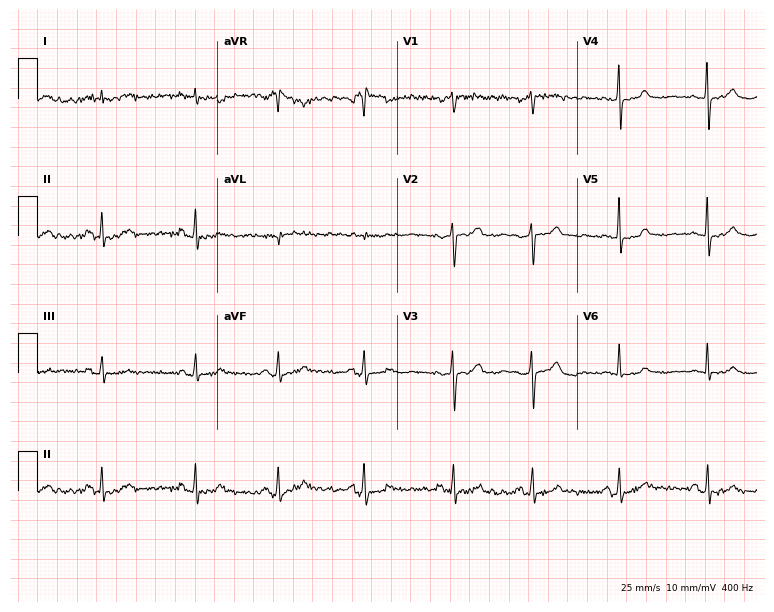
12-lead ECG from a woman, 63 years old. No first-degree AV block, right bundle branch block, left bundle branch block, sinus bradycardia, atrial fibrillation or sinus tachycardia recorded for this tracing. Only these six findings were labelled.